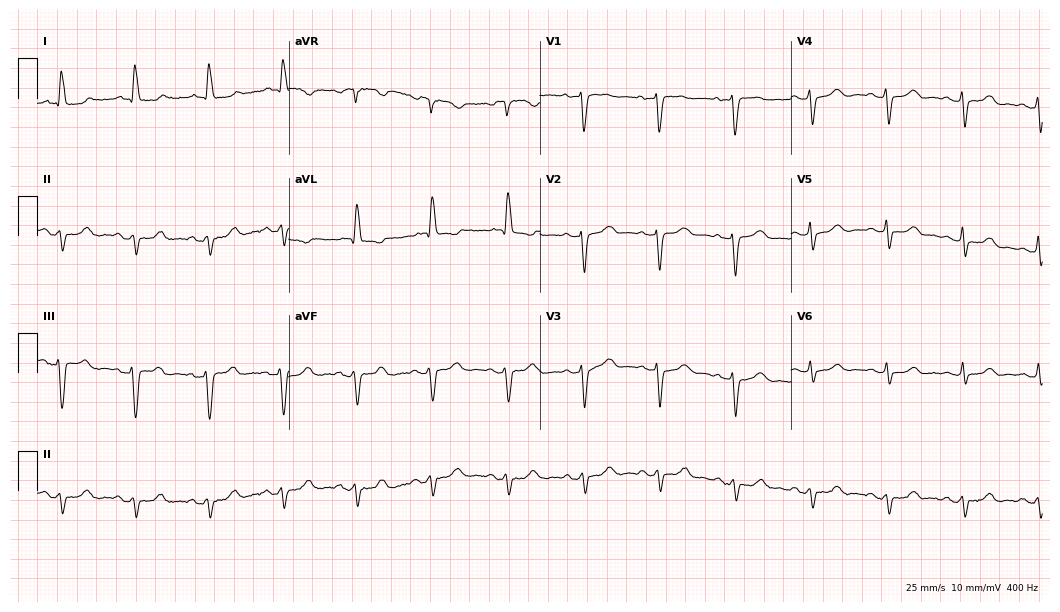
ECG — a 71-year-old female patient. Screened for six findings — first-degree AV block, right bundle branch block (RBBB), left bundle branch block (LBBB), sinus bradycardia, atrial fibrillation (AF), sinus tachycardia — none is recorded.